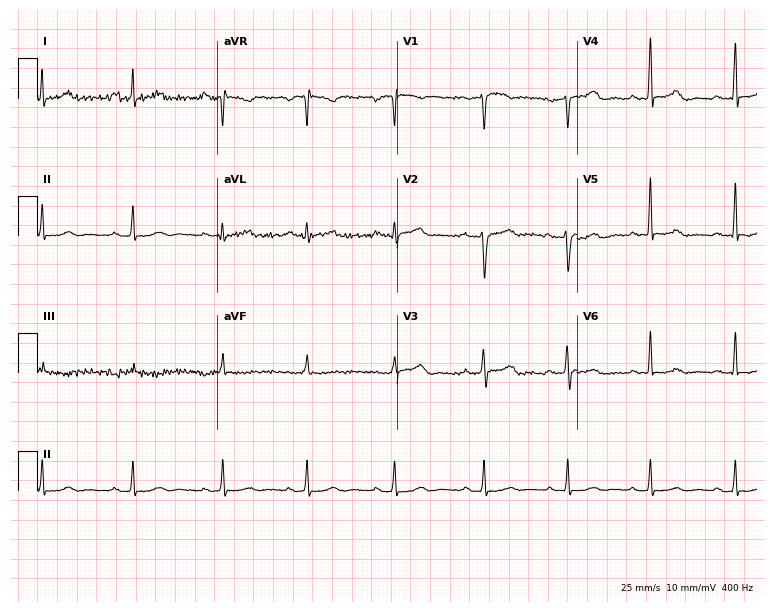
Resting 12-lead electrocardiogram (7.3-second recording at 400 Hz). Patient: a woman, 29 years old. Read as a normal ECG.